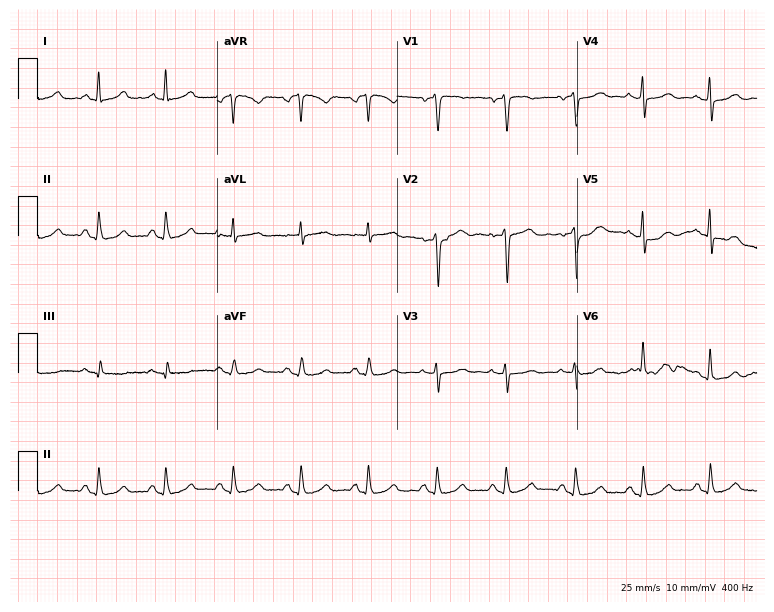
Standard 12-lead ECG recorded from a 58-year-old female (7.3-second recording at 400 Hz). Read as a normal ECG.